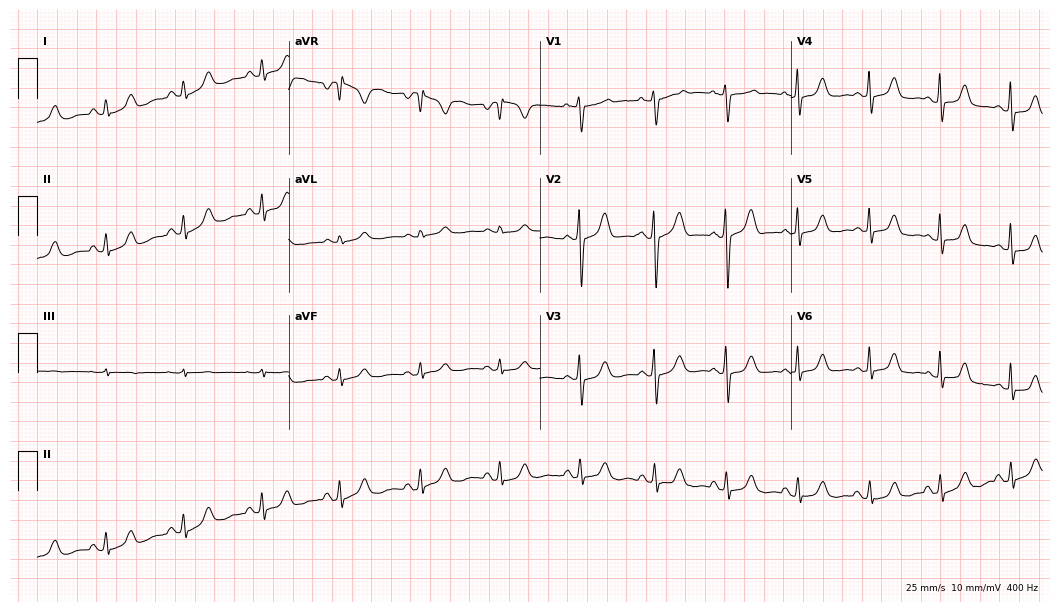
ECG — a woman, 56 years old. Labelled as a normal ECG.